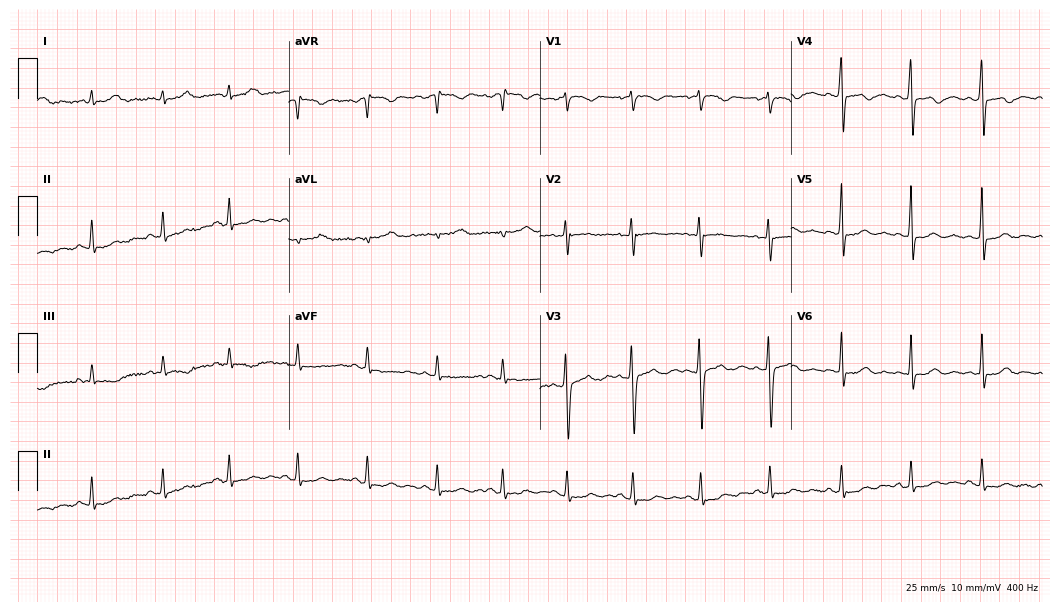
Electrocardiogram (10.2-second recording at 400 Hz), a 19-year-old female. Of the six screened findings (first-degree AV block, right bundle branch block, left bundle branch block, sinus bradycardia, atrial fibrillation, sinus tachycardia), none is recorded. Findings outside these six are not listed.